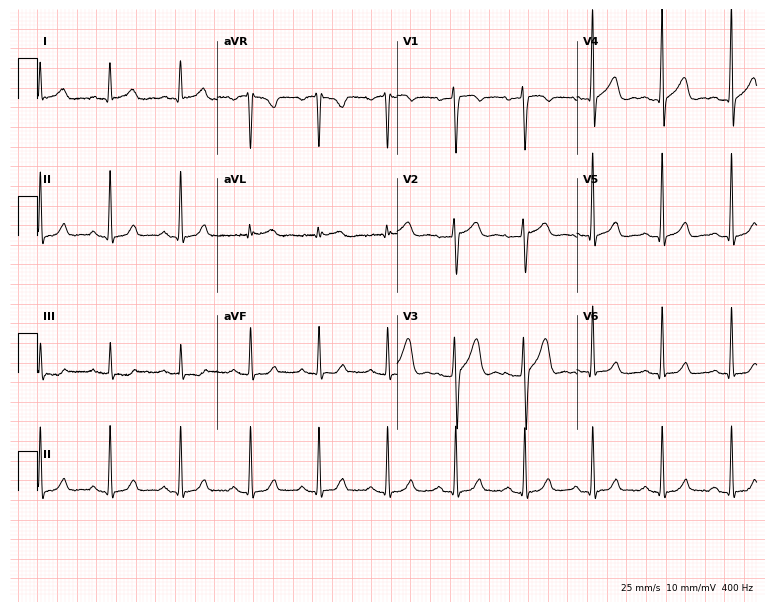
ECG — a 42-year-old man. Labelled as a normal ECG.